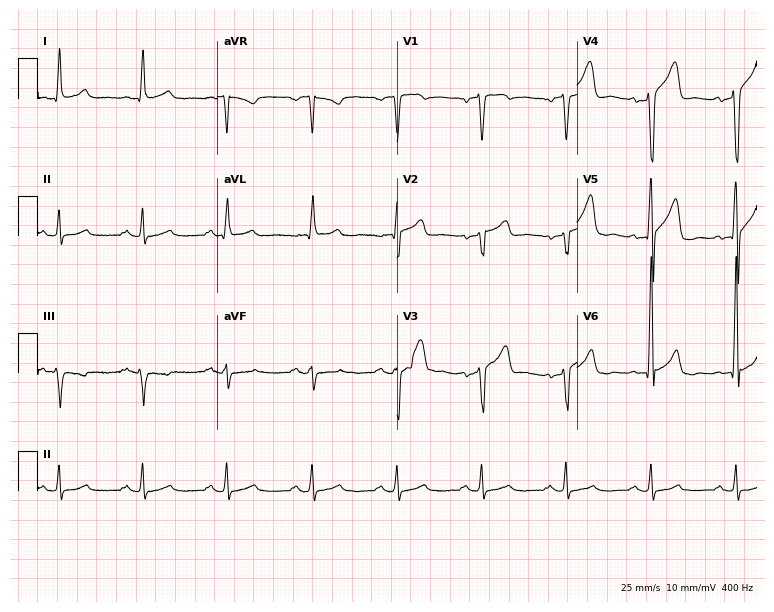
Electrocardiogram, a 63-year-old woman. Of the six screened findings (first-degree AV block, right bundle branch block (RBBB), left bundle branch block (LBBB), sinus bradycardia, atrial fibrillation (AF), sinus tachycardia), none is recorded. Findings outside these six are not listed.